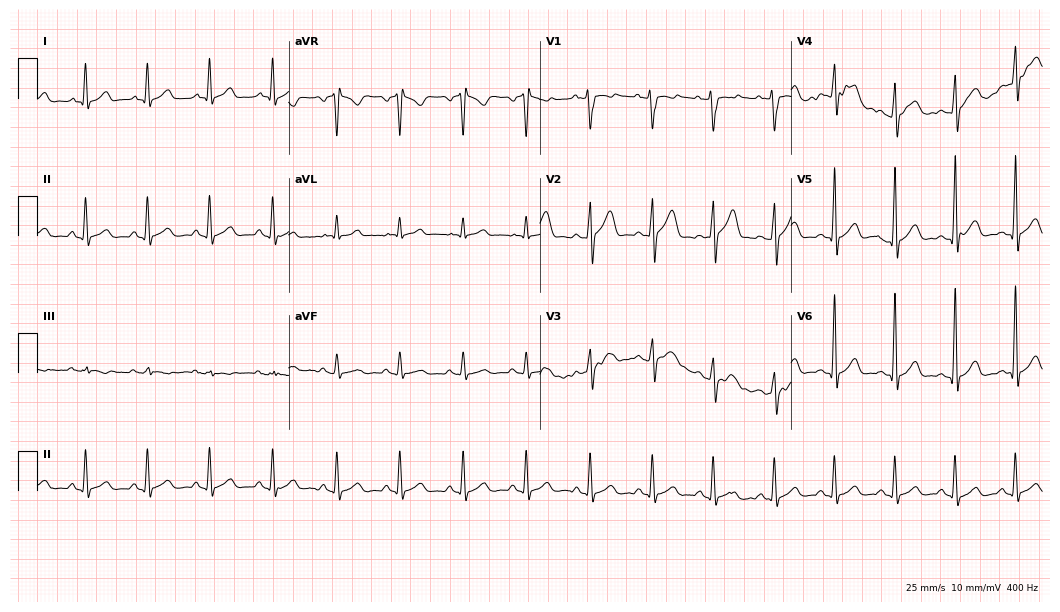
12-lead ECG from a male patient, 38 years old. Labelled as a normal ECG.